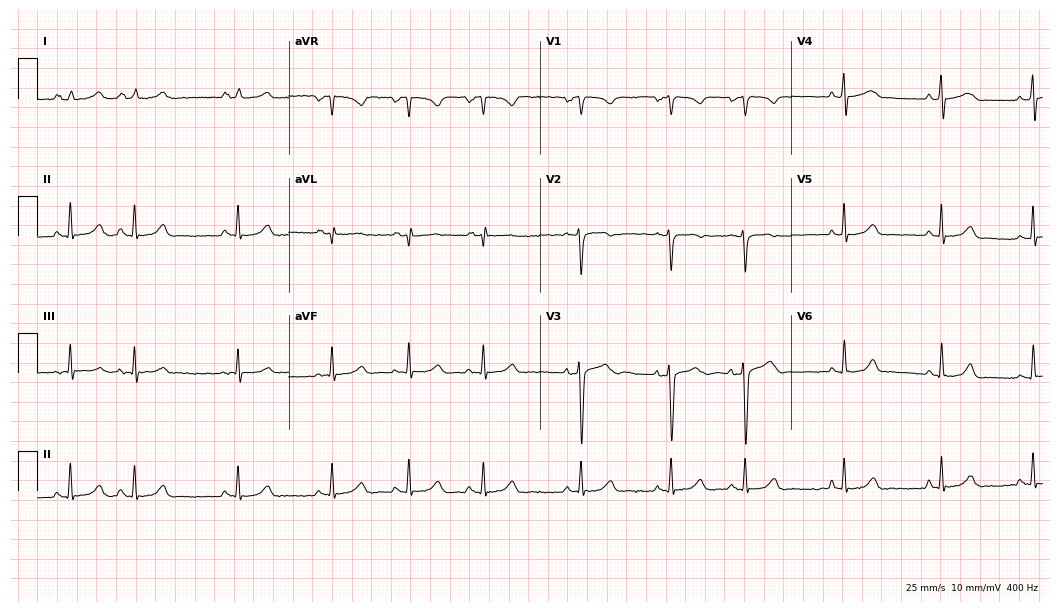
Resting 12-lead electrocardiogram. Patient: a 17-year-old female. None of these six findings is recorded: first-degree AV block, right bundle branch block, left bundle branch block, sinus bradycardia, atrial fibrillation, sinus tachycardia.